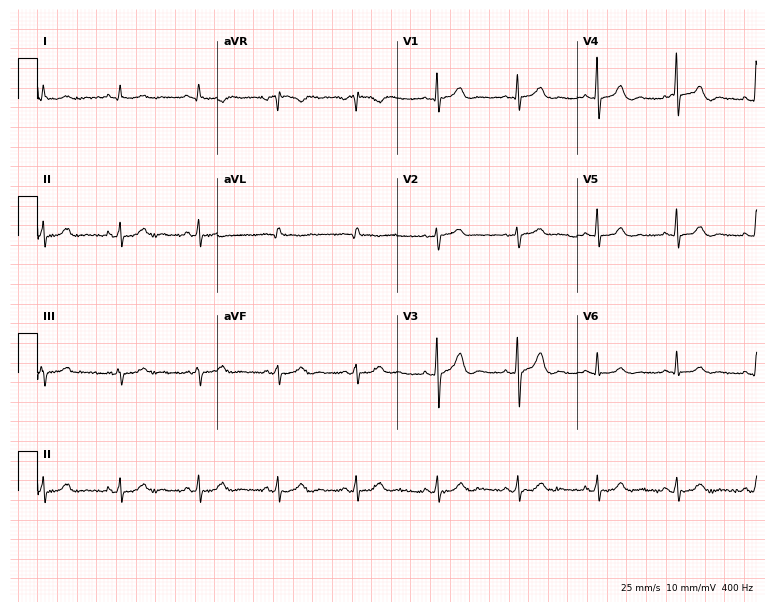
ECG — a male patient, 69 years old. Screened for six findings — first-degree AV block, right bundle branch block, left bundle branch block, sinus bradycardia, atrial fibrillation, sinus tachycardia — none is recorded.